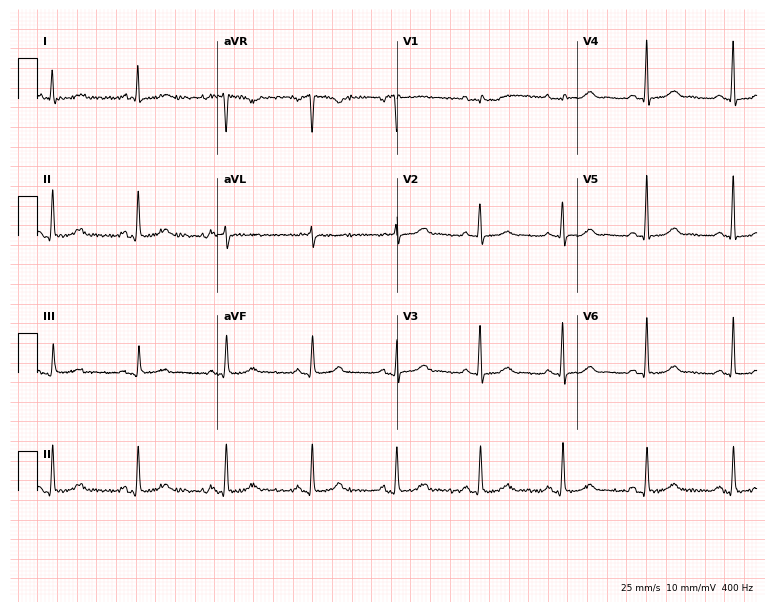
Resting 12-lead electrocardiogram. Patient: a 62-year-old female. Read as a normal ECG.